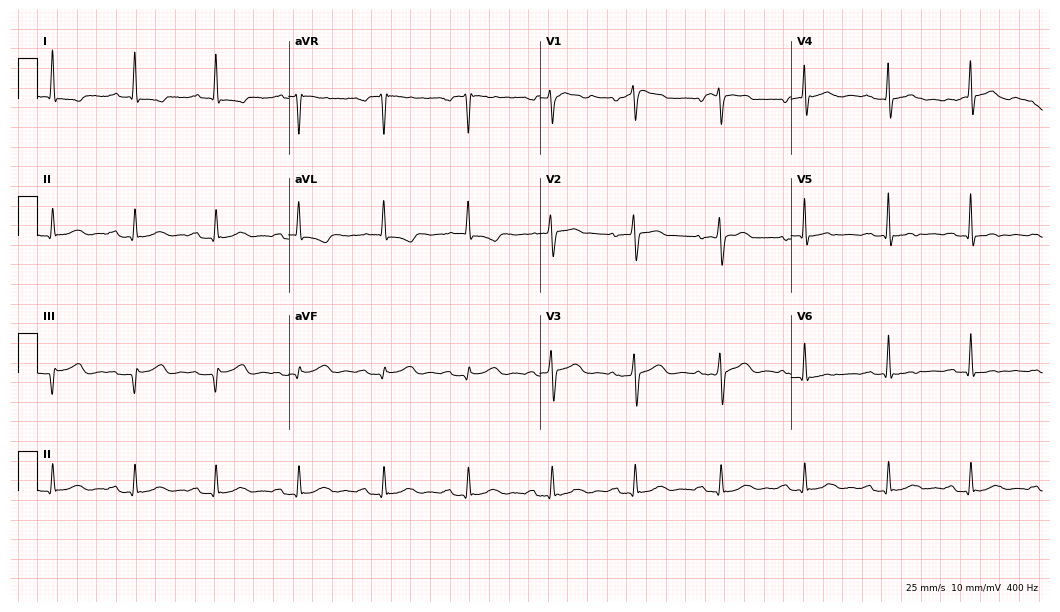
Standard 12-lead ECG recorded from a male, 68 years old. The tracing shows first-degree AV block.